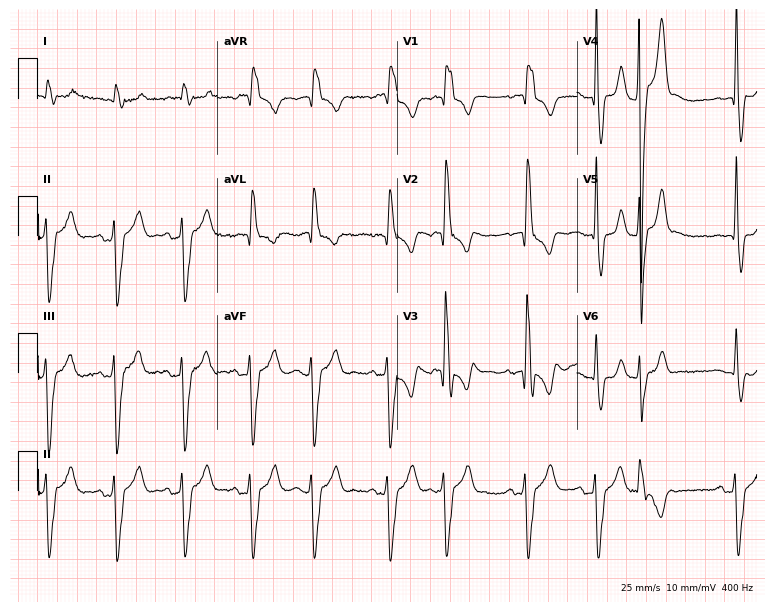
Resting 12-lead electrocardiogram. Patient: an 80-year-old male. The tracing shows right bundle branch block.